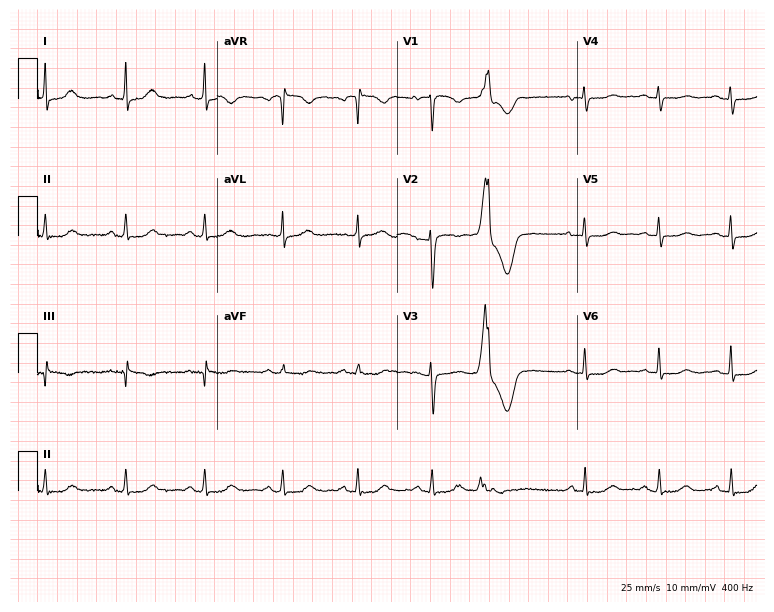
Standard 12-lead ECG recorded from a 60-year-old female (7.3-second recording at 400 Hz). Read as a normal ECG.